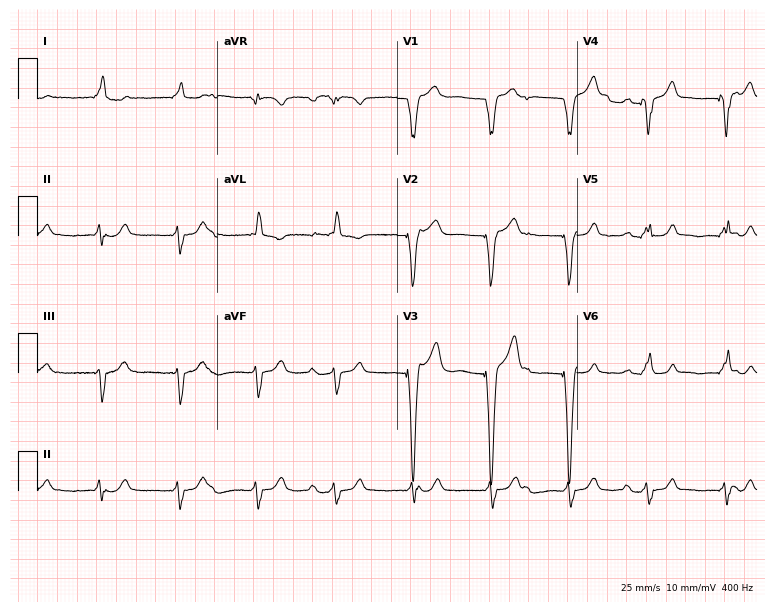
ECG — a female patient, 58 years old. Screened for six findings — first-degree AV block, right bundle branch block, left bundle branch block, sinus bradycardia, atrial fibrillation, sinus tachycardia — none is recorded. Only these six findings were labelled.